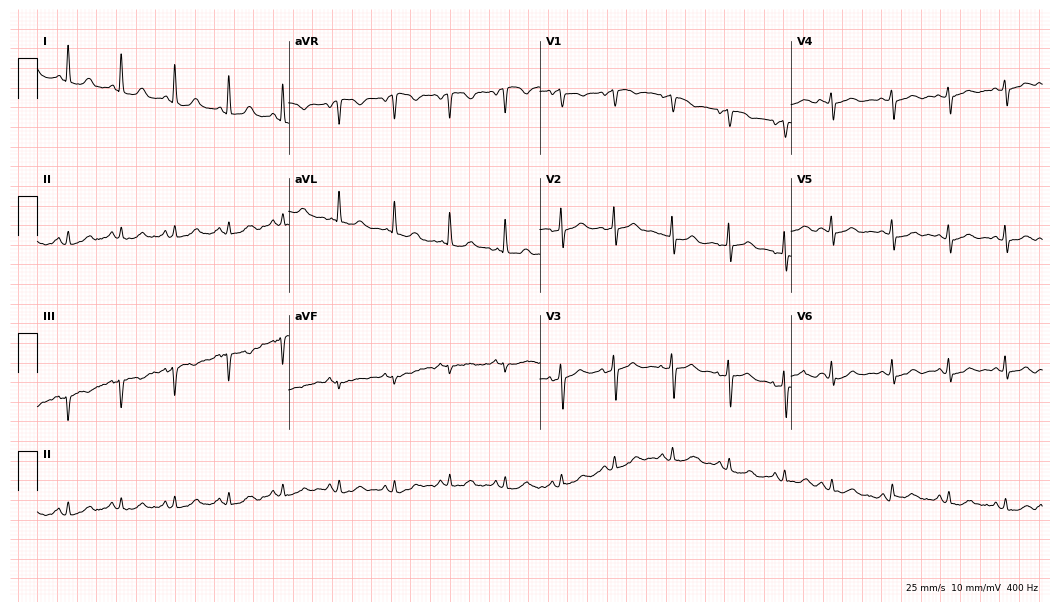
ECG — a 67-year-old female patient. Findings include sinus tachycardia (a sinus rate of 100 beats per minute or more).